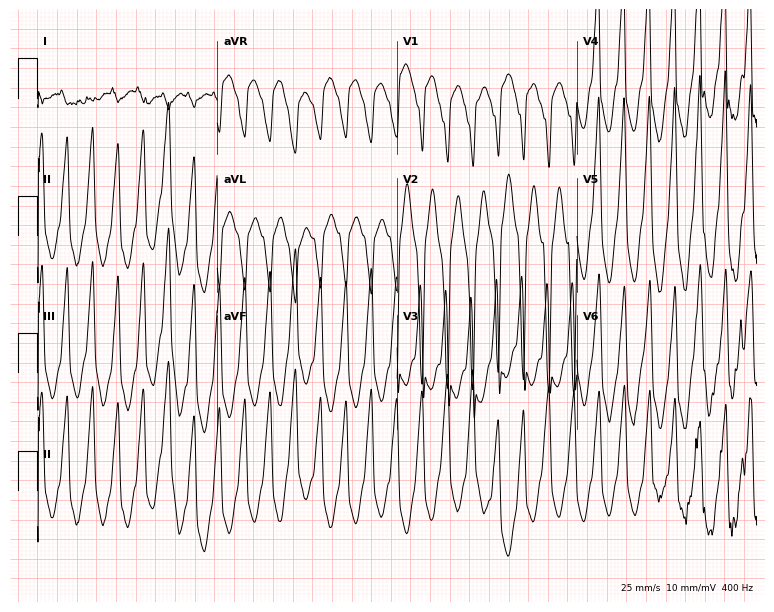
Resting 12-lead electrocardiogram (7.3-second recording at 400 Hz). Patient: a man, 84 years old. None of these six findings is recorded: first-degree AV block, right bundle branch block, left bundle branch block, sinus bradycardia, atrial fibrillation, sinus tachycardia.